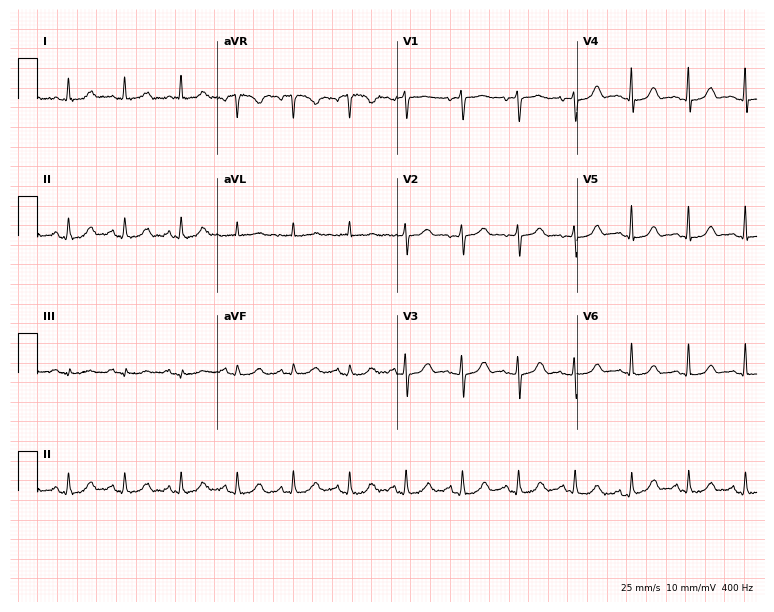
Electrocardiogram, a woman, 71 years old. Interpretation includes sinus tachycardia (a sinus rate of 100 beats per minute or more).